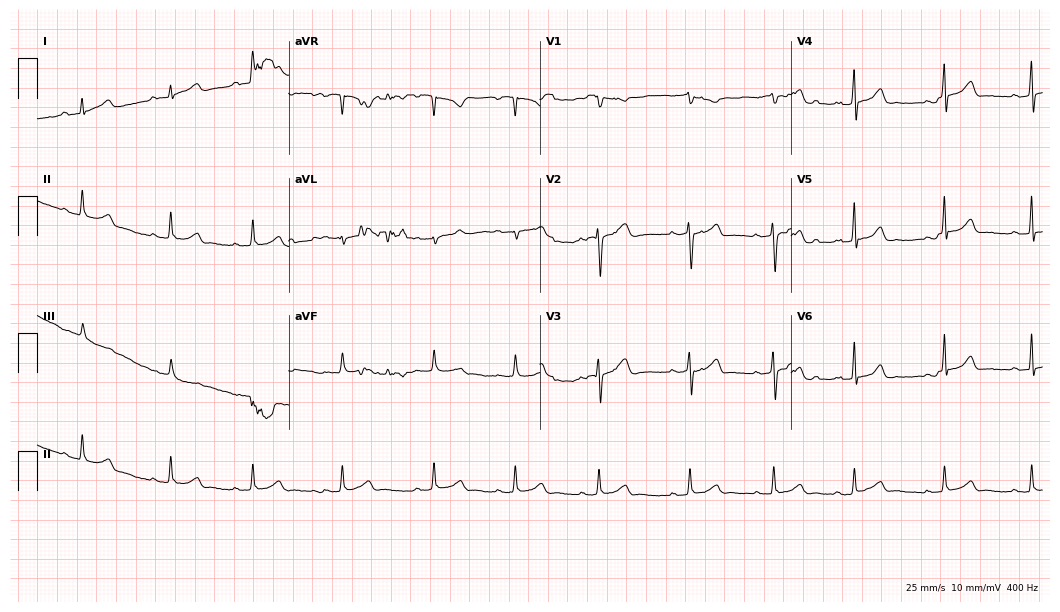
Electrocardiogram, a 26-year-old female patient. Of the six screened findings (first-degree AV block, right bundle branch block (RBBB), left bundle branch block (LBBB), sinus bradycardia, atrial fibrillation (AF), sinus tachycardia), none is recorded. Only these six findings were labelled.